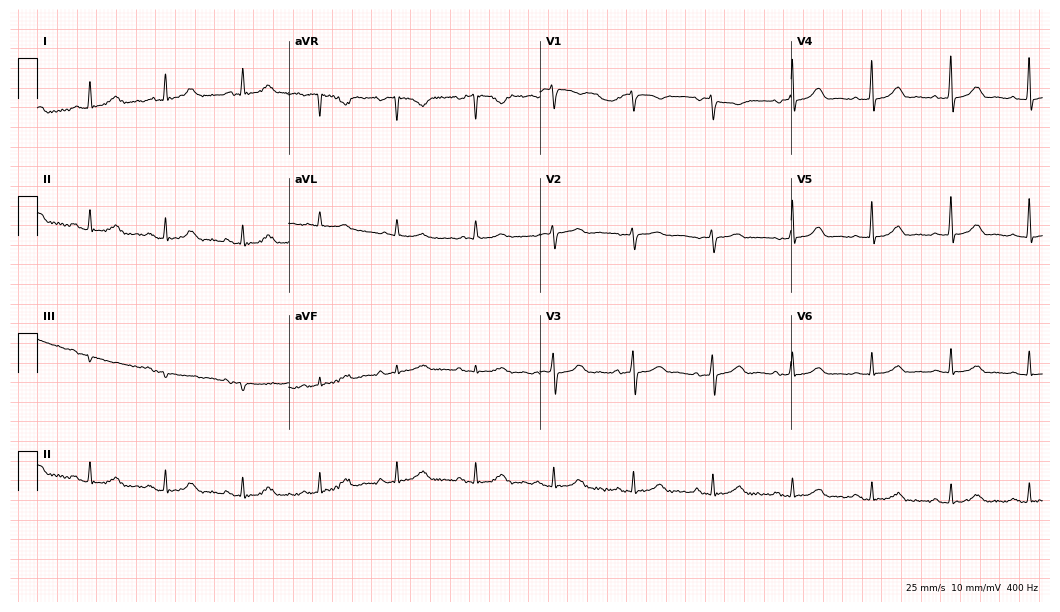
12-lead ECG from a female patient, 80 years old. Recorded interpretation: within normal limits.